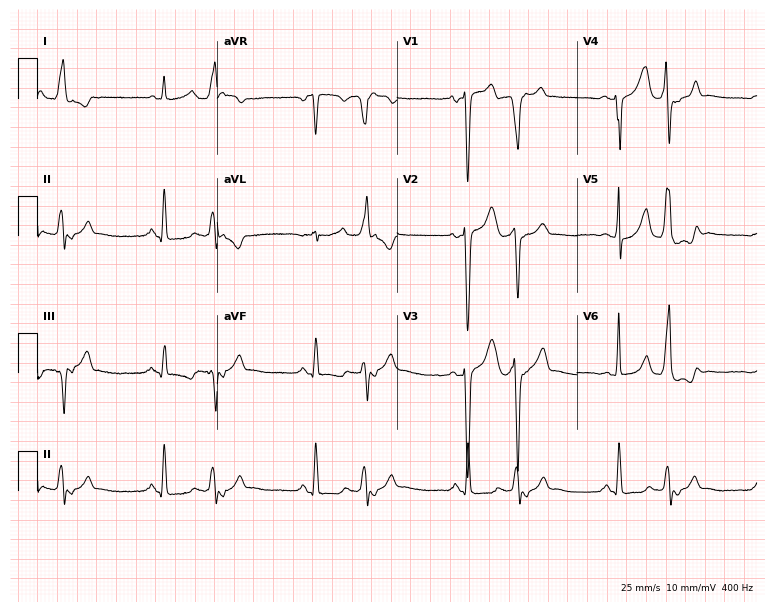
ECG (7.3-second recording at 400 Hz) — a male patient, 81 years old. Screened for six findings — first-degree AV block, right bundle branch block, left bundle branch block, sinus bradycardia, atrial fibrillation, sinus tachycardia — none is recorded.